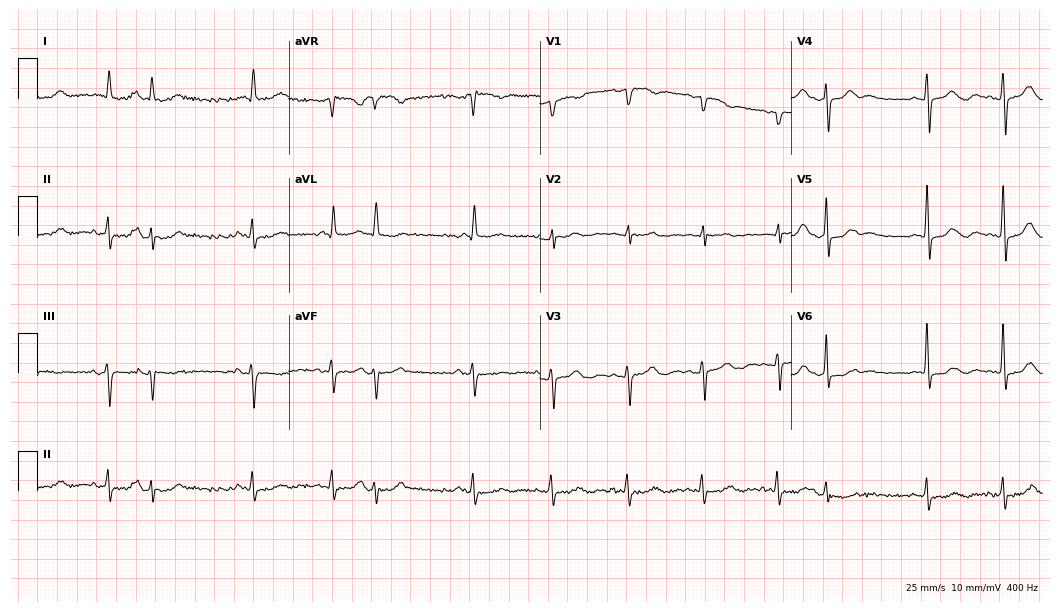
Standard 12-lead ECG recorded from a woman, 71 years old. None of these six findings is recorded: first-degree AV block, right bundle branch block (RBBB), left bundle branch block (LBBB), sinus bradycardia, atrial fibrillation (AF), sinus tachycardia. Other findings, if any, are not listed.